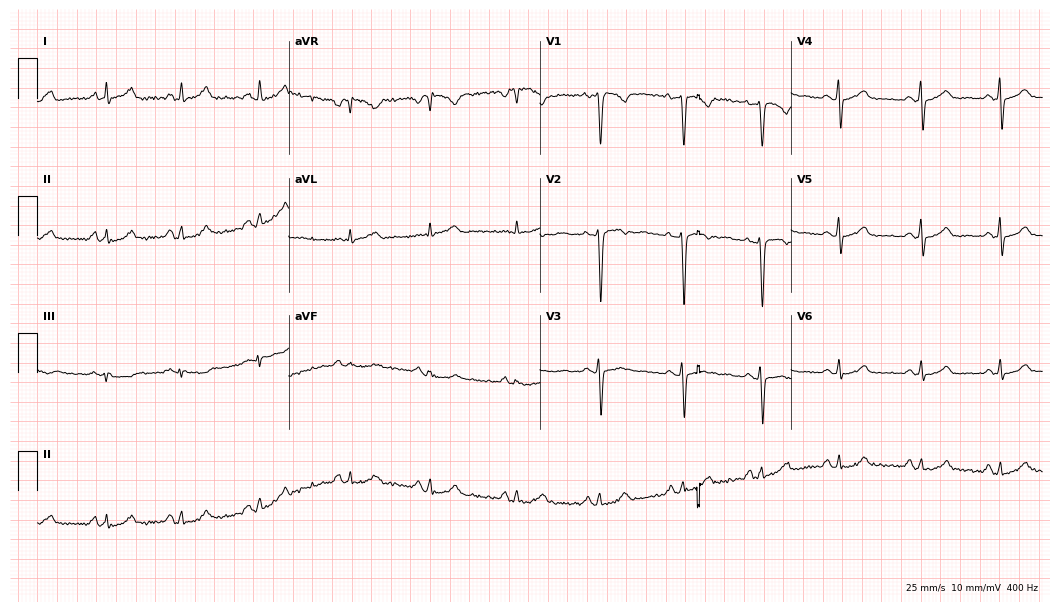
Electrocardiogram (10.2-second recording at 400 Hz), a female patient, 49 years old. Of the six screened findings (first-degree AV block, right bundle branch block, left bundle branch block, sinus bradycardia, atrial fibrillation, sinus tachycardia), none is recorded. Findings outside these six are not listed.